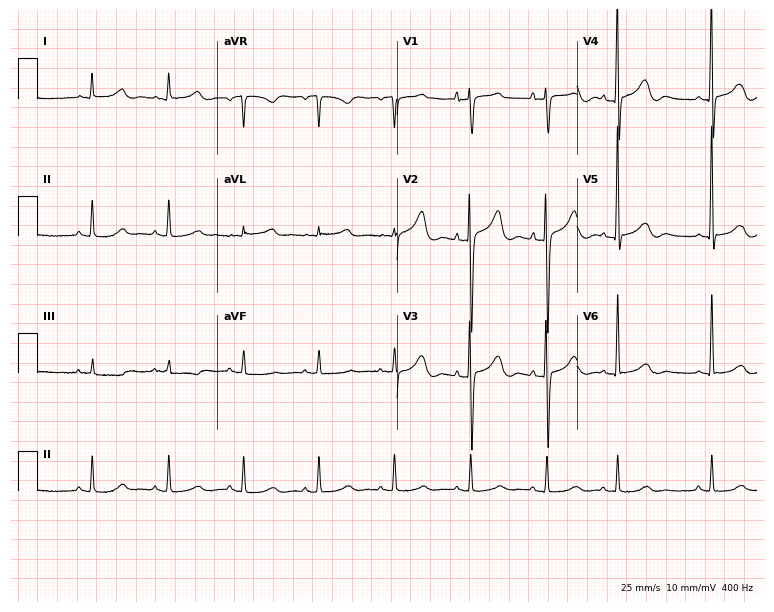
ECG — a 79-year-old woman. Screened for six findings — first-degree AV block, right bundle branch block, left bundle branch block, sinus bradycardia, atrial fibrillation, sinus tachycardia — none is recorded. Only these six findings were labelled.